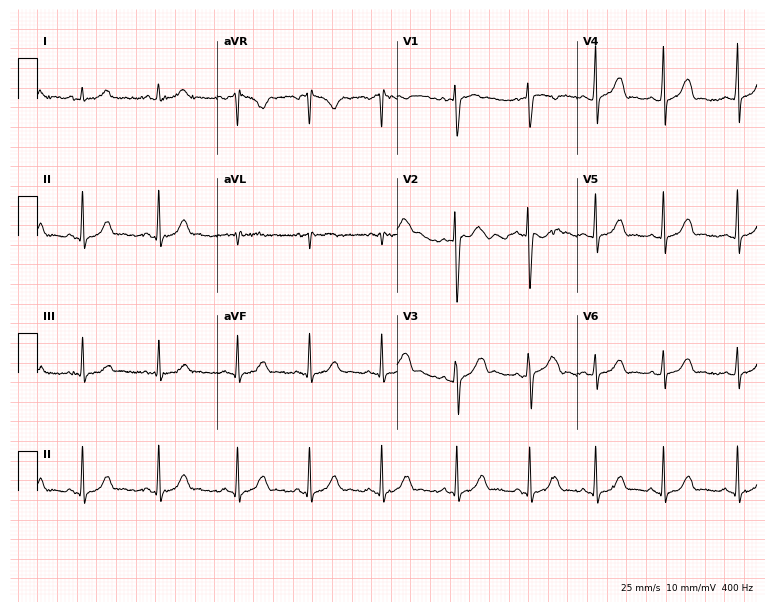
Resting 12-lead electrocardiogram (7.3-second recording at 400 Hz). Patient: a woman, 17 years old. None of these six findings is recorded: first-degree AV block, right bundle branch block, left bundle branch block, sinus bradycardia, atrial fibrillation, sinus tachycardia.